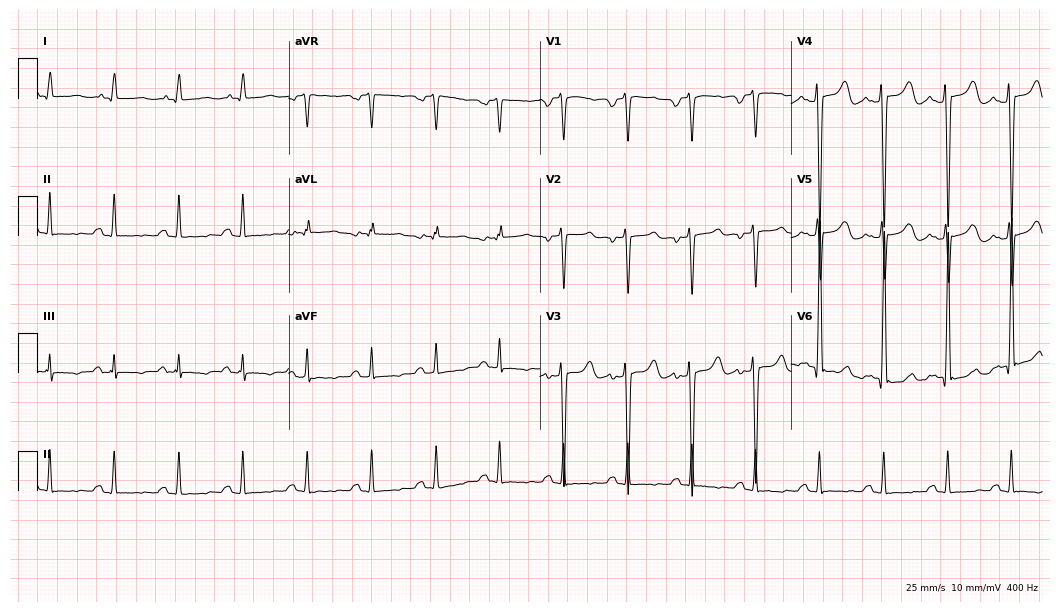
Standard 12-lead ECG recorded from a 34-year-old male. None of these six findings is recorded: first-degree AV block, right bundle branch block (RBBB), left bundle branch block (LBBB), sinus bradycardia, atrial fibrillation (AF), sinus tachycardia.